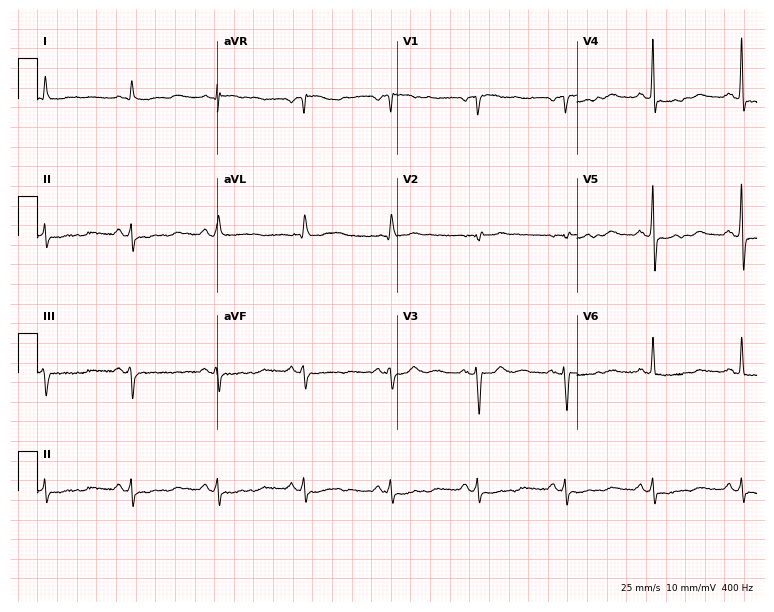
Electrocardiogram (7.3-second recording at 400 Hz), a 67-year-old male patient. Of the six screened findings (first-degree AV block, right bundle branch block (RBBB), left bundle branch block (LBBB), sinus bradycardia, atrial fibrillation (AF), sinus tachycardia), none is recorded. Only these six findings were labelled.